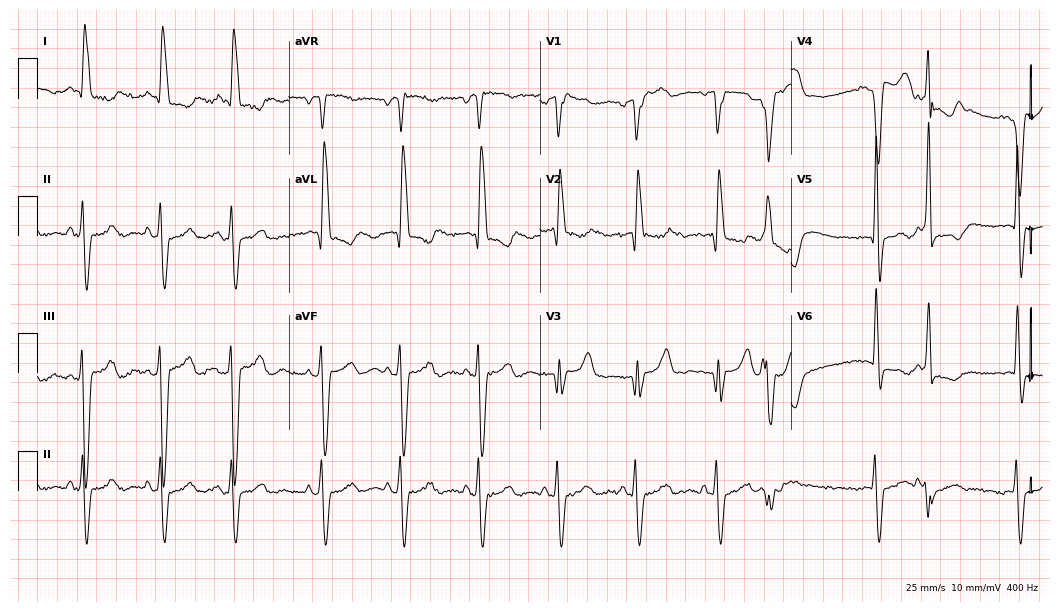
12-lead ECG (10.2-second recording at 400 Hz) from a 72-year-old female patient. Screened for six findings — first-degree AV block, right bundle branch block (RBBB), left bundle branch block (LBBB), sinus bradycardia, atrial fibrillation (AF), sinus tachycardia — none is recorded. Findings outside these six are not listed.